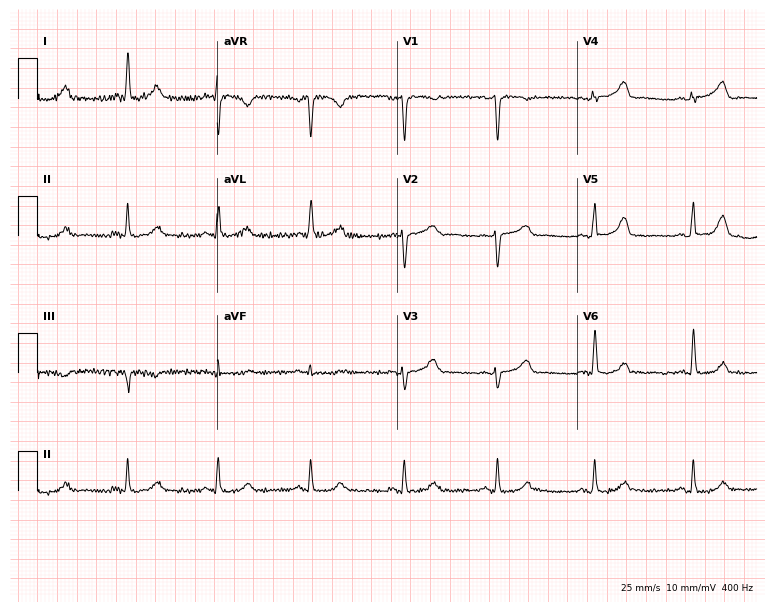
12-lead ECG from a 59-year-old woman (7.3-second recording at 400 Hz). Recorded interpretation: within normal limits.